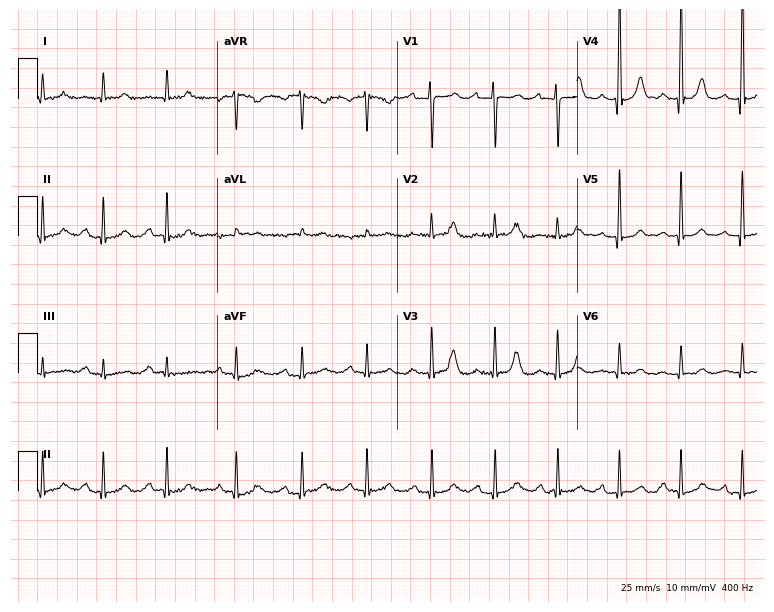
12-lead ECG from an 80-year-old woman. No first-degree AV block, right bundle branch block, left bundle branch block, sinus bradycardia, atrial fibrillation or sinus tachycardia recorded for this tracing. Other findings, if any, are not listed.